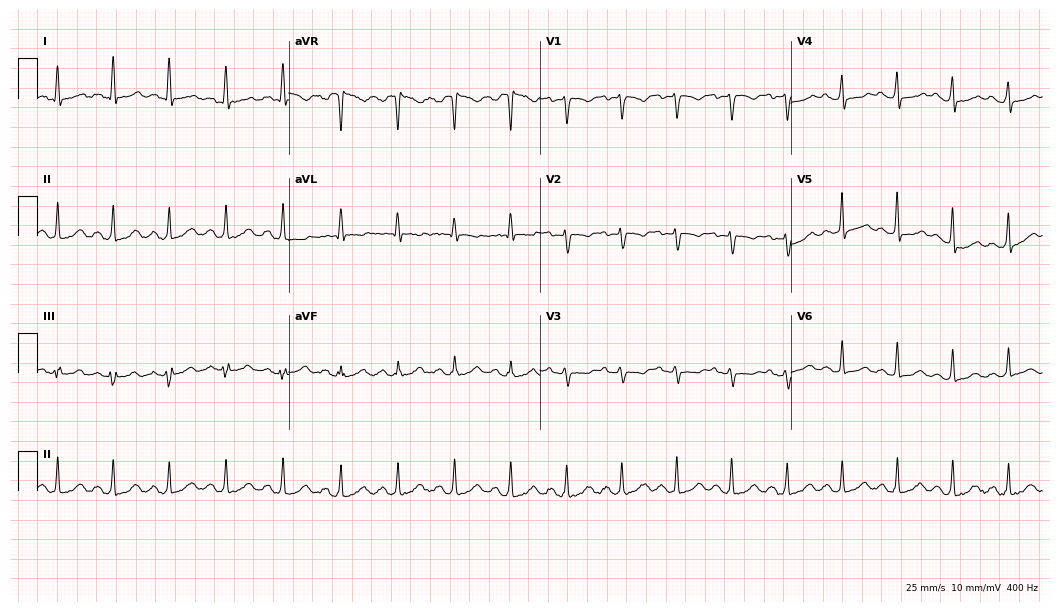
12-lead ECG from a 35-year-old woman. Shows sinus tachycardia (a sinus rate of 100 beats per minute or more).